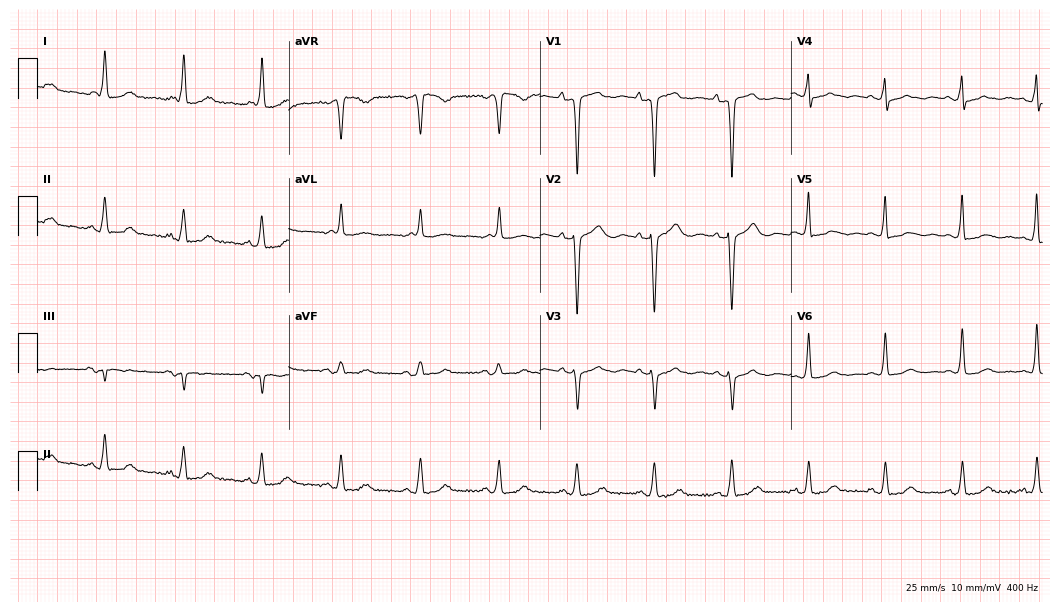
Standard 12-lead ECG recorded from a female, 77 years old (10.2-second recording at 400 Hz). None of these six findings is recorded: first-degree AV block, right bundle branch block, left bundle branch block, sinus bradycardia, atrial fibrillation, sinus tachycardia. Other findings, if any, are not listed.